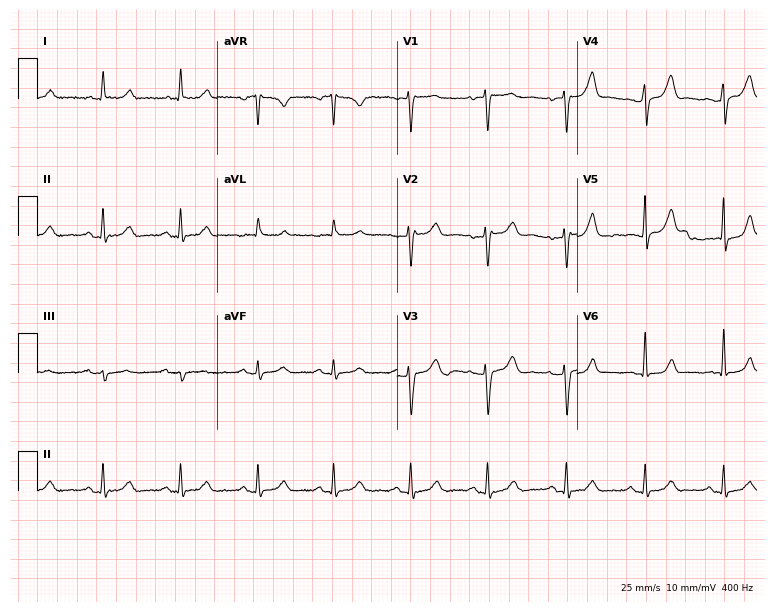
12-lead ECG from a female, 53 years old (7.3-second recording at 400 Hz). No first-degree AV block, right bundle branch block, left bundle branch block, sinus bradycardia, atrial fibrillation or sinus tachycardia recorded for this tracing.